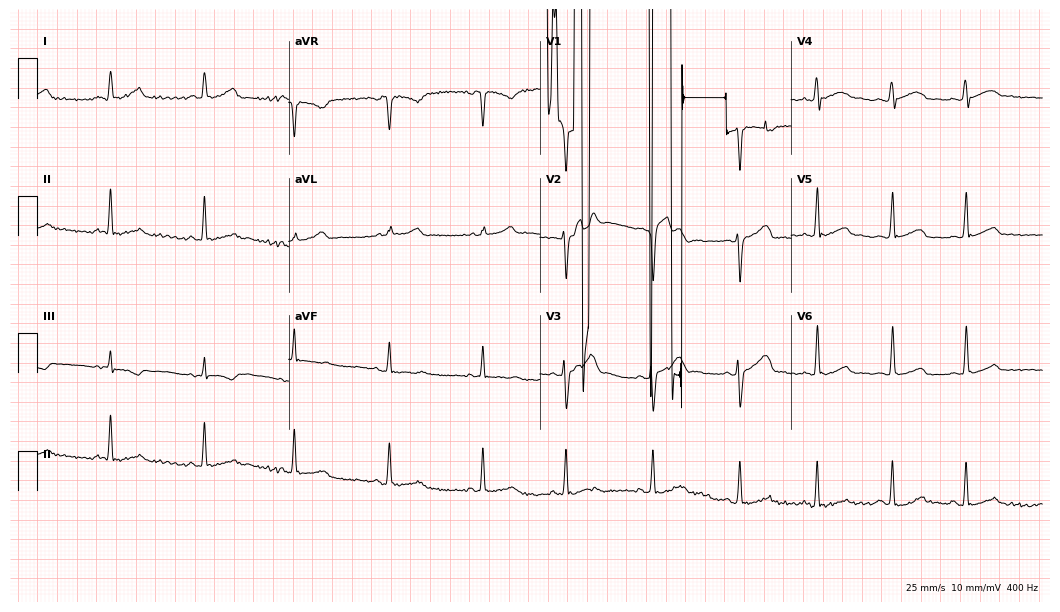
12-lead ECG from a man, 31 years old. Recorded interpretation: within normal limits.